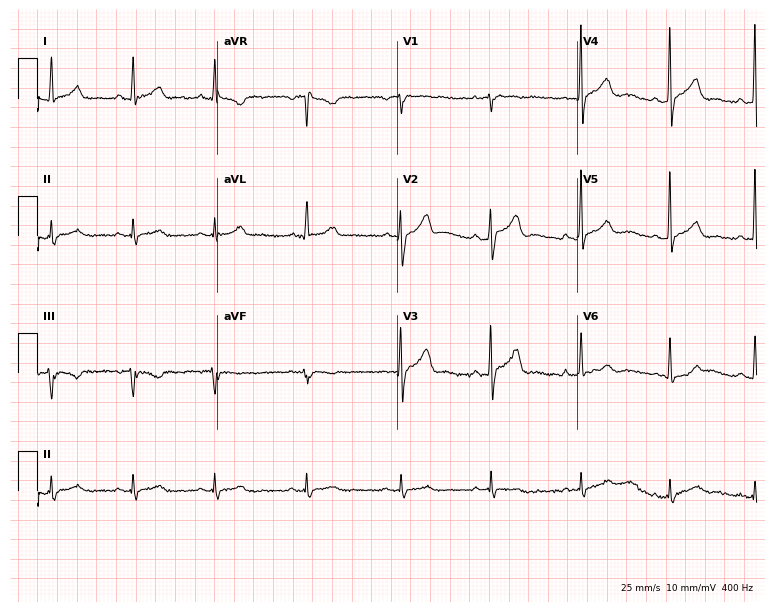
12-lead ECG from a man, 43 years old. Recorded interpretation: within normal limits.